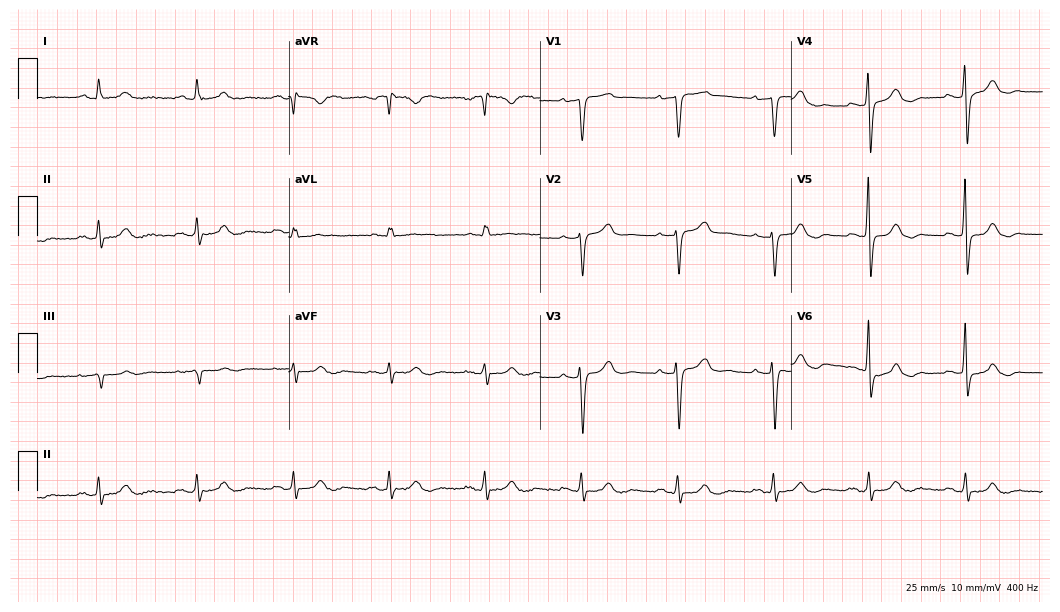
ECG — a female patient, 53 years old. Labelled as a normal ECG.